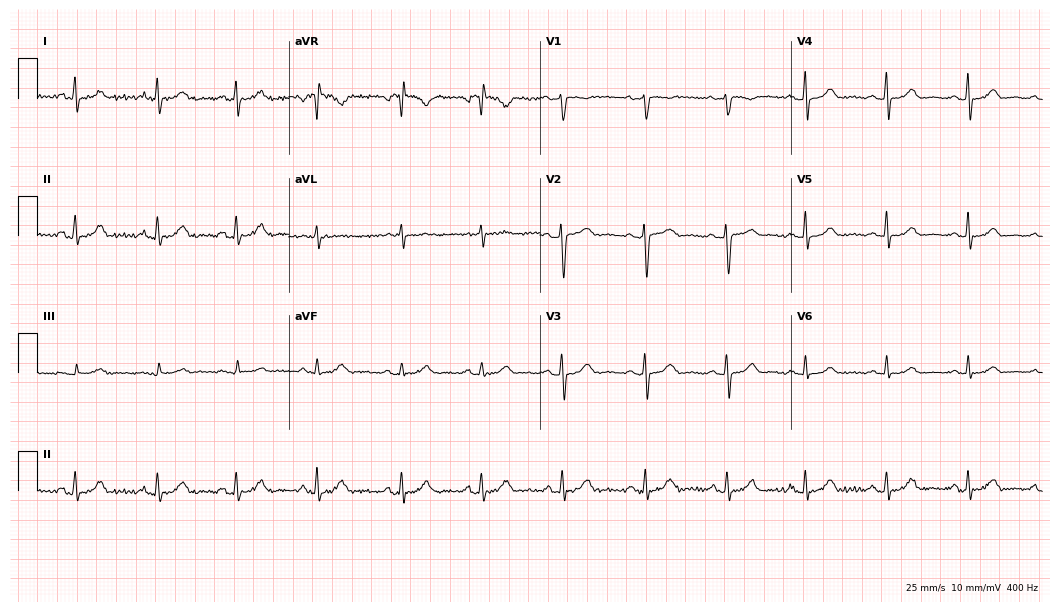
Electrocardiogram, a 40-year-old female. Overall reading on record: normal ECG.